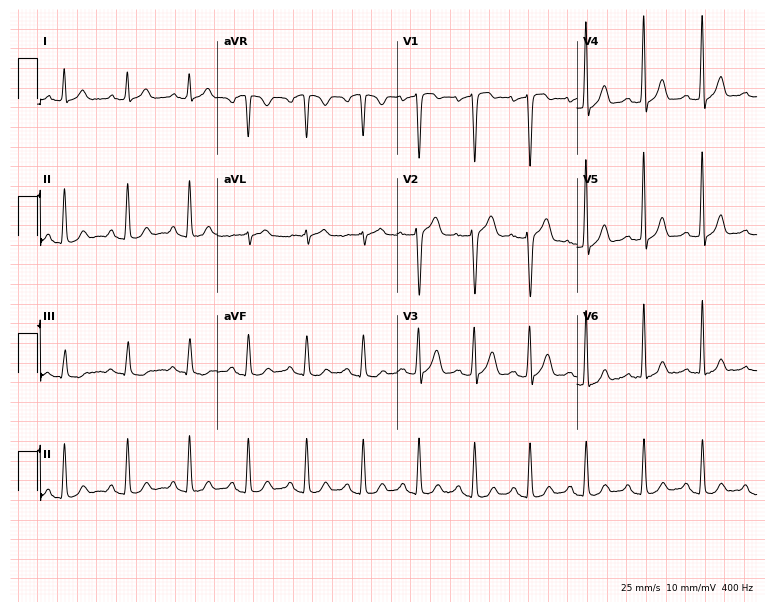
Electrocardiogram (7.3-second recording at 400 Hz), a man, 53 years old. Overall reading on record: normal ECG.